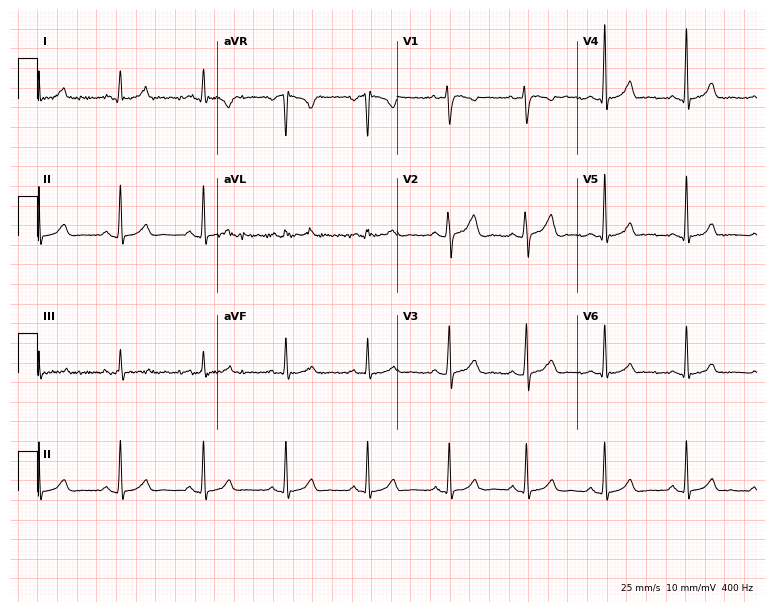
ECG (7.3-second recording at 400 Hz) — a woman, 36 years old. Labelled as a normal ECG.